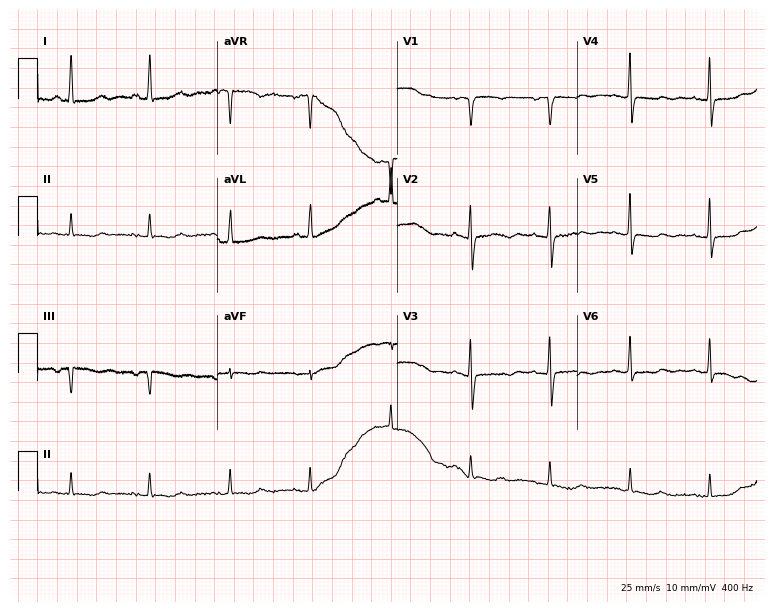
Resting 12-lead electrocardiogram (7.3-second recording at 400 Hz). Patient: a woman, 85 years old. None of these six findings is recorded: first-degree AV block, right bundle branch block, left bundle branch block, sinus bradycardia, atrial fibrillation, sinus tachycardia. Only these six findings were labelled.